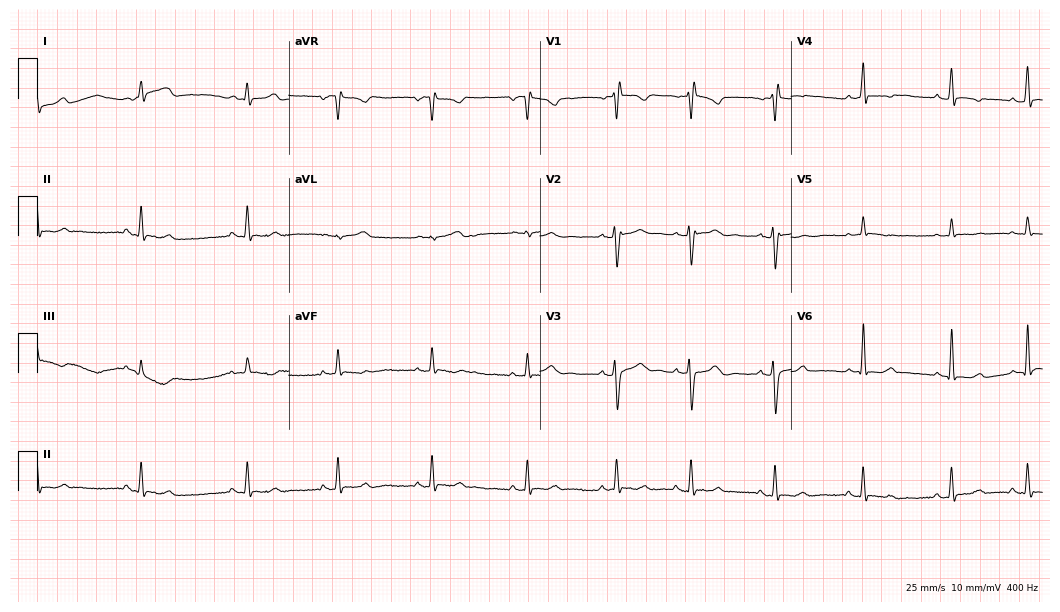
ECG — an 18-year-old female patient. Screened for six findings — first-degree AV block, right bundle branch block, left bundle branch block, sinus bradycardia, atrial fibrillation, sinus tachycardia — none is recorded. Only these six findings were labelled.